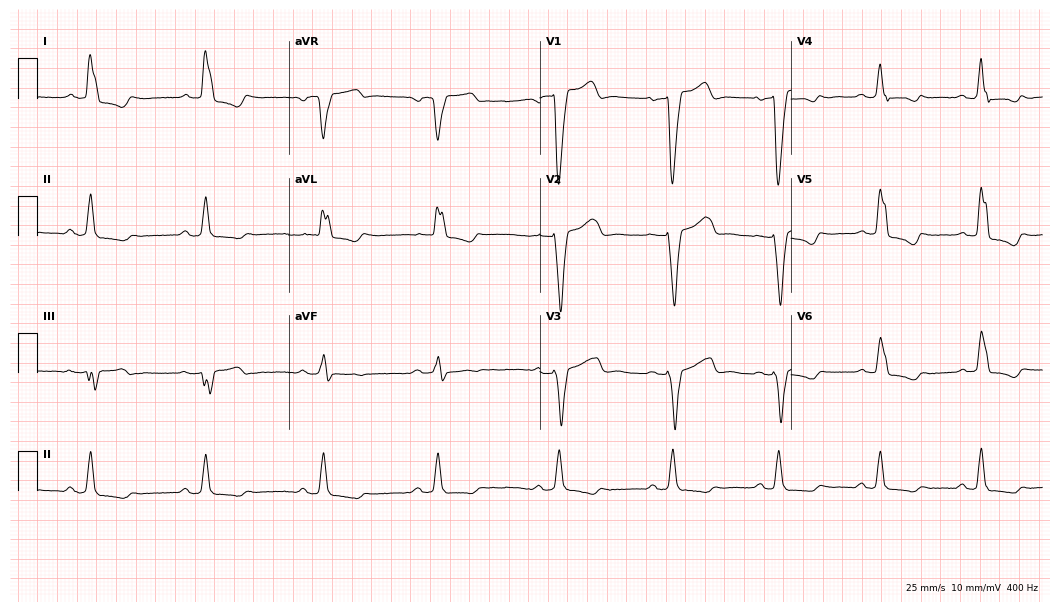
ECG (10.2-second recording at 400 Hz) — a 63-year-old female patient. Findings include left bundle branch block.